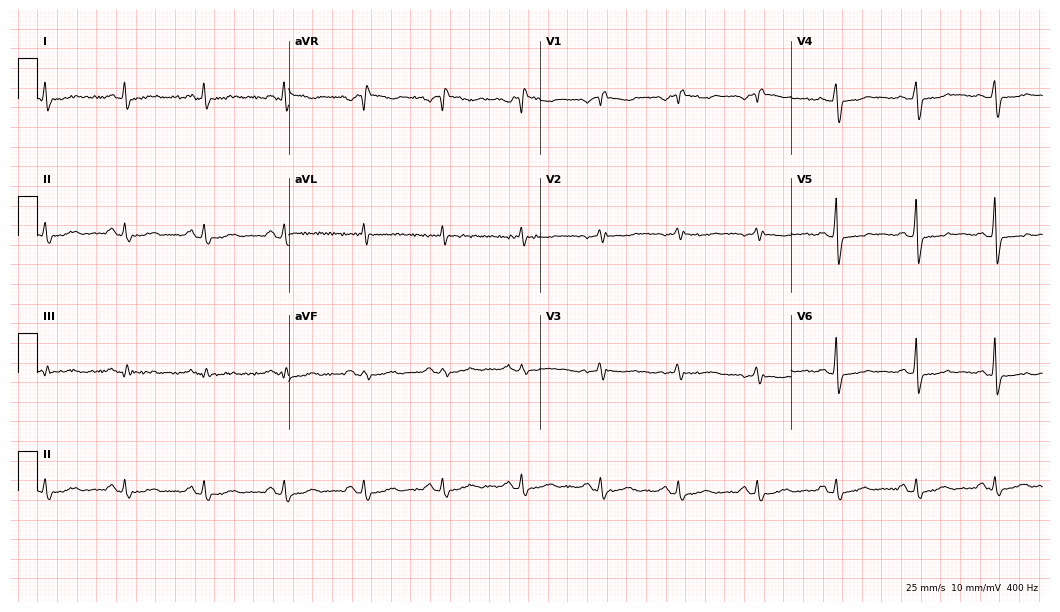
Standard 12-lead ECG recorded from a female patient, 57 years old (10.2-second recording at 400 Hz). The tracing shows right bundle branch block.